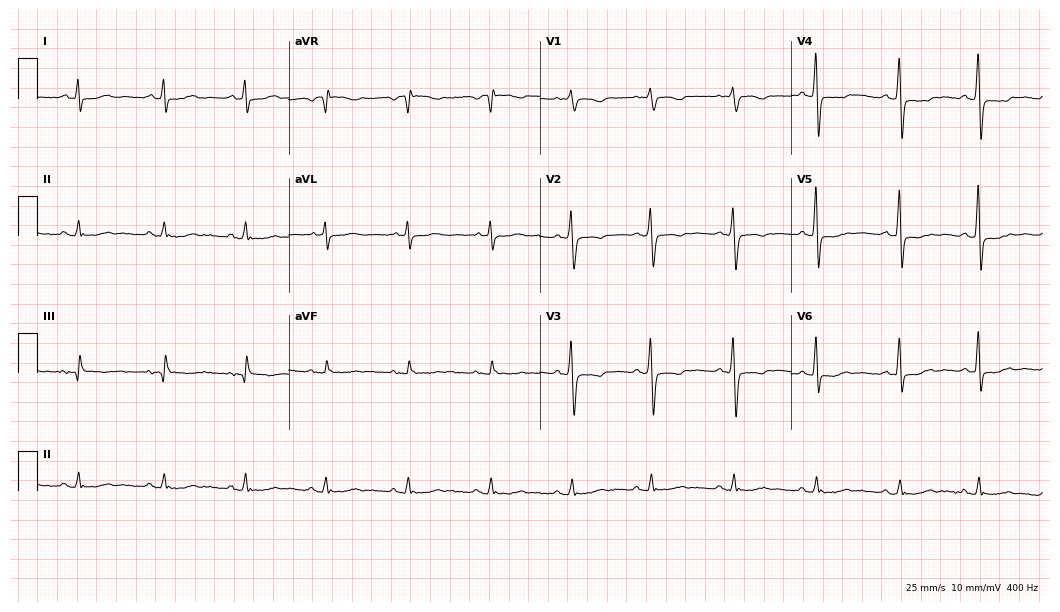
Standard 12-lead ECG recorded from a 62-year-old female patient (10.2-second recording at 400 Hz). None of these six findings is recorded: first-degree AV block, right bundle branch block (RBBB), left bundle branch block (LBBB), sinus bradycardia, atrial fibrillation (AF), sinus tachycardia.